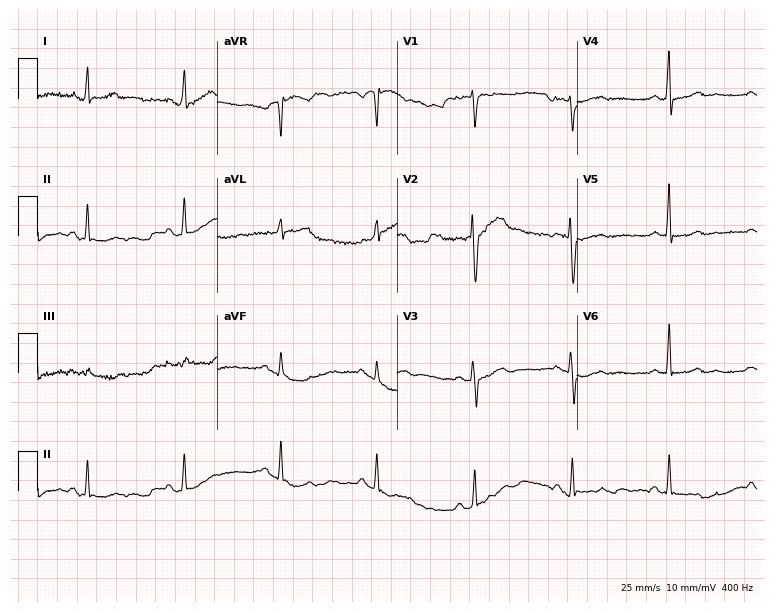
Standard 12-lead ECG recorded from a 68-year-old female patient (7.3-second recording at 400 Hz). Read as a normal ECG.